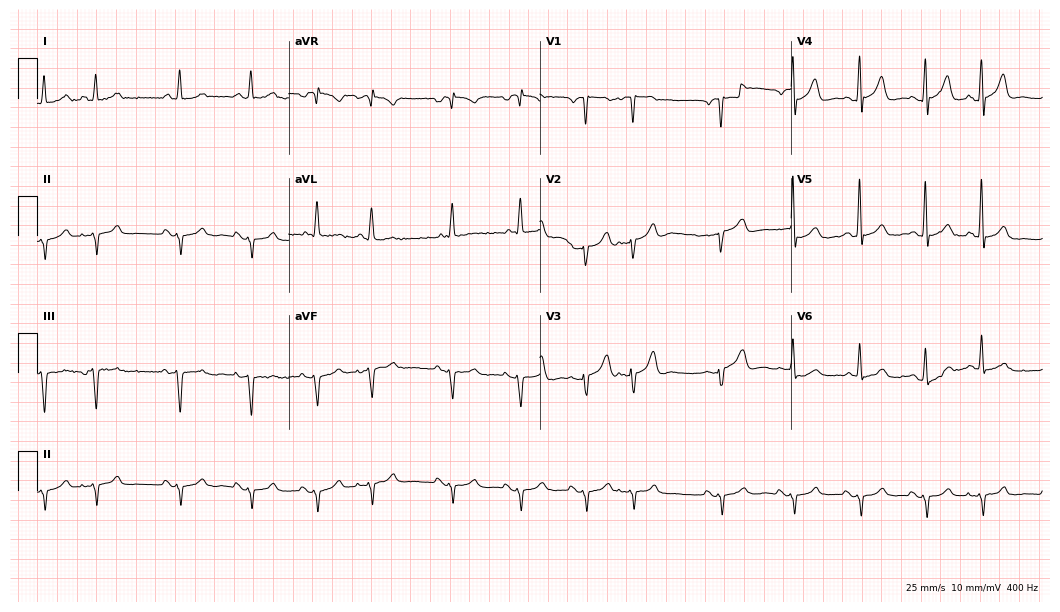
Electrocardiogram, an 84-year-old man. Of the six screened findings (first-degree AV block, right bundle branch block (RBBB), left bundle branch block (LBBB), sinus bradycardia, atrial fibrillation (AF), sinus tachycardia), none is recorded.